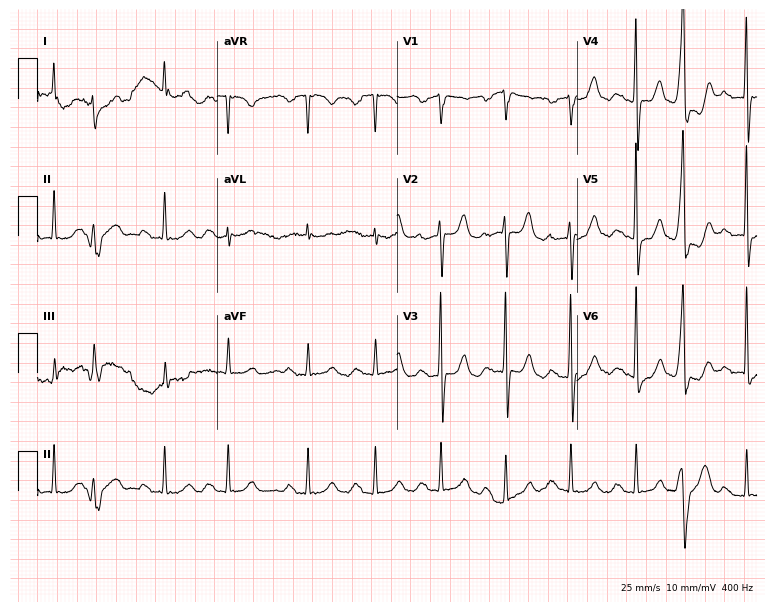
Resting 12-lead electrocardiogram (7.3-second recording at 400 Hz). Patient: a 72-year-old male. The tracing shows first-degree AV block, atrial fibrillation (AF).